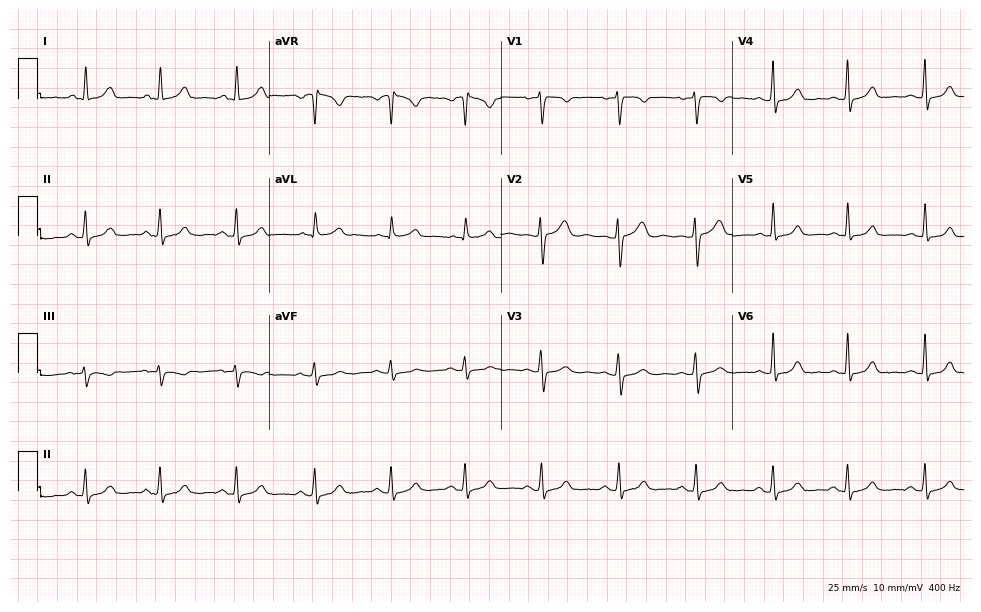
Electrocardiogram, a female patient, 44 years old. Overall reading on record: normal ECG.